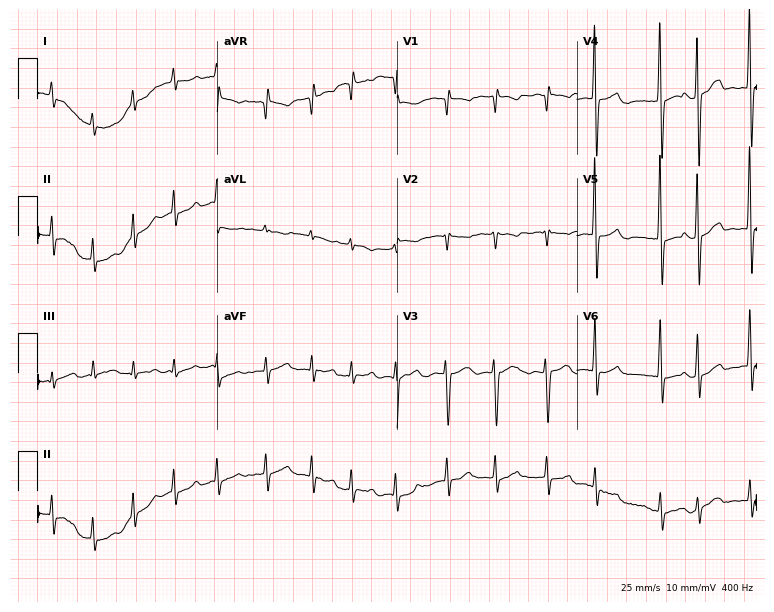
Electrocardiogram (7.3-second recording at 400 Hz), a woman, 74 years old. Interpretation includes atrial fibrillation.